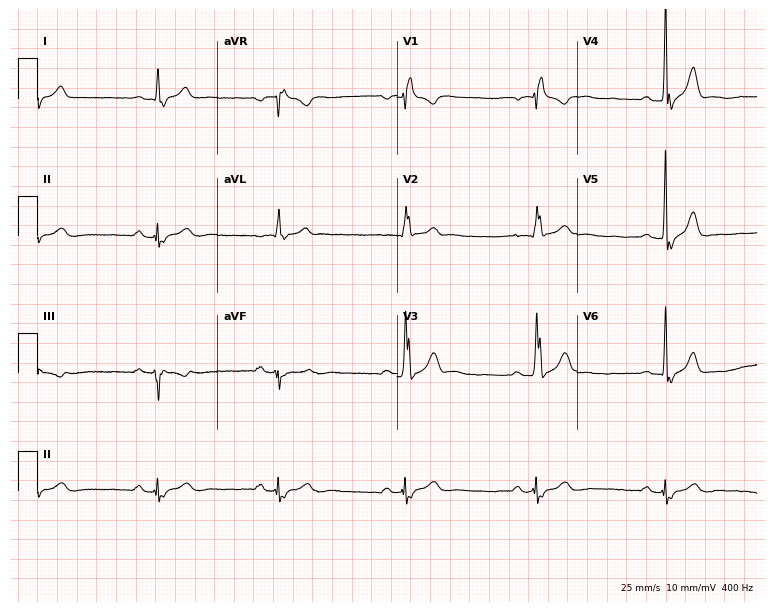
12-lead ECG (7.3-second recording at 400 Hz) from a male, 61 years old. Findings include right bundle branch block, sinus bradycardia (a sinus rate of 50 beats per minute or less).